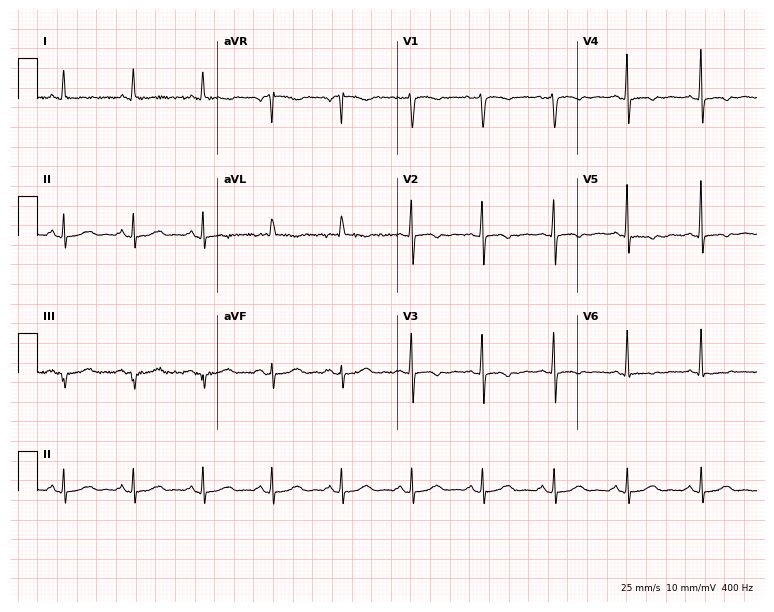
ECG (7.3-second recording at 400 Hz) — a female, 61 years old. Screened for six findings — first-degree AV block, right bundle branch block, left bundle branch block, sinus bradycardia, atrial fibrillation, sinus tachycardia — none is recorded. Findings outside these six are not listed.